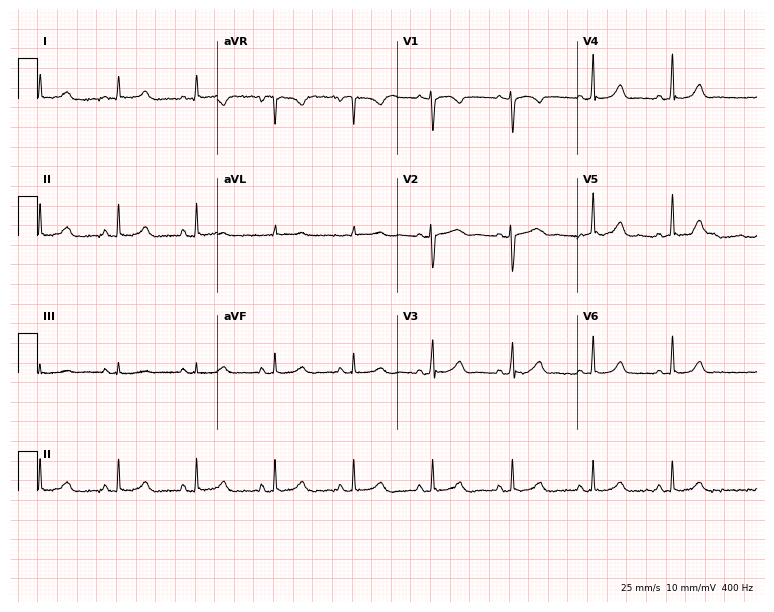
12-lead ECG from a 31-year-old female. No first-degree AV block, right bundle branch block (RBBB), left bundle branch block (LBBB), sinus bradycardia, atrial fibrillation (AF) or sinus tachycardia recorded for this tracing.